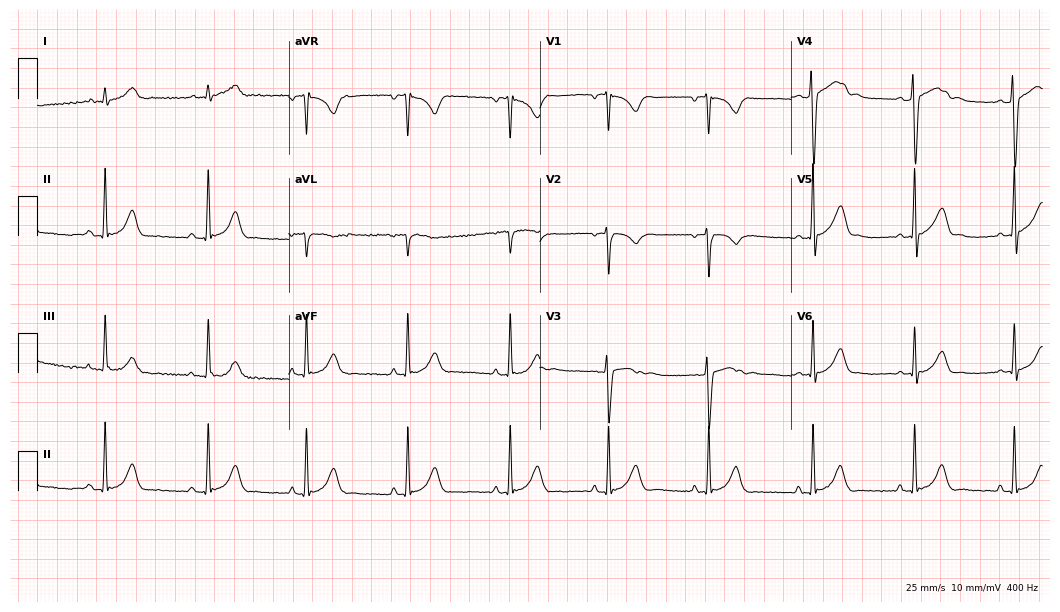
12-lead ECG from an 18-year-old male. Labelled as a normal ECG.